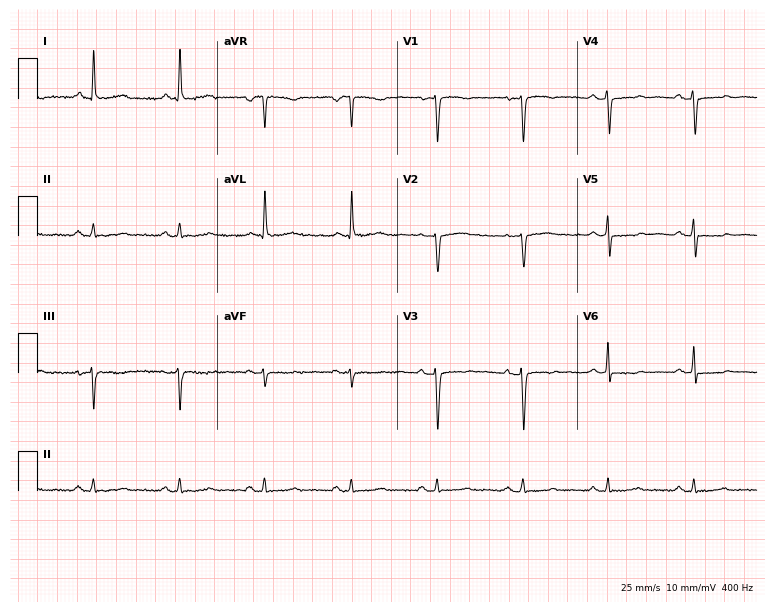
Electrocardiogram, a female patient, 53 years old. Of the six screened findings (first-degree AV block, right bundle branch block, left bundle branch block, sinus bradycardia, atrial fibrillation, sinus tachycardia), none is recorded.